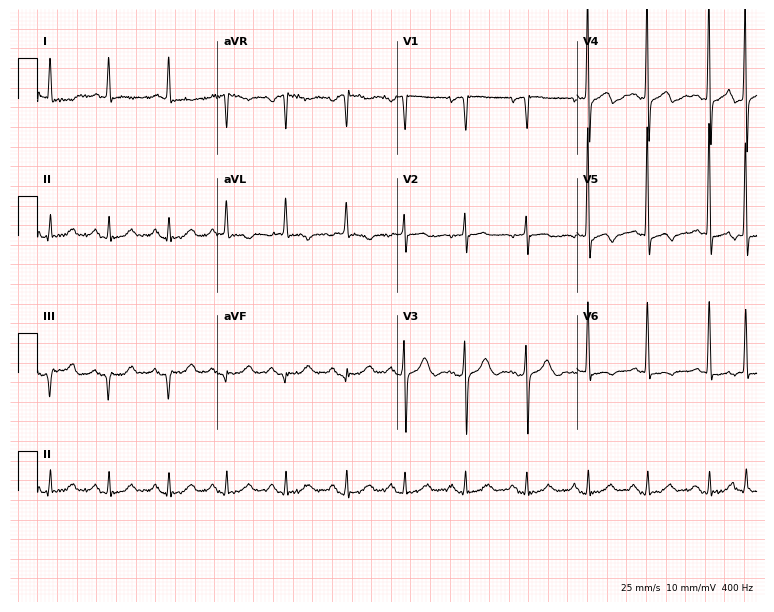
Standard 12-lead ECG recorded from a female, 85 years old (7.3-second recording at 400 Hz). None of these six findings is recorded: first-degree AV block, right bundle branch block, left bundle branch block, sinus bradycardia, atrial fibrillation, sinus tachycardia.